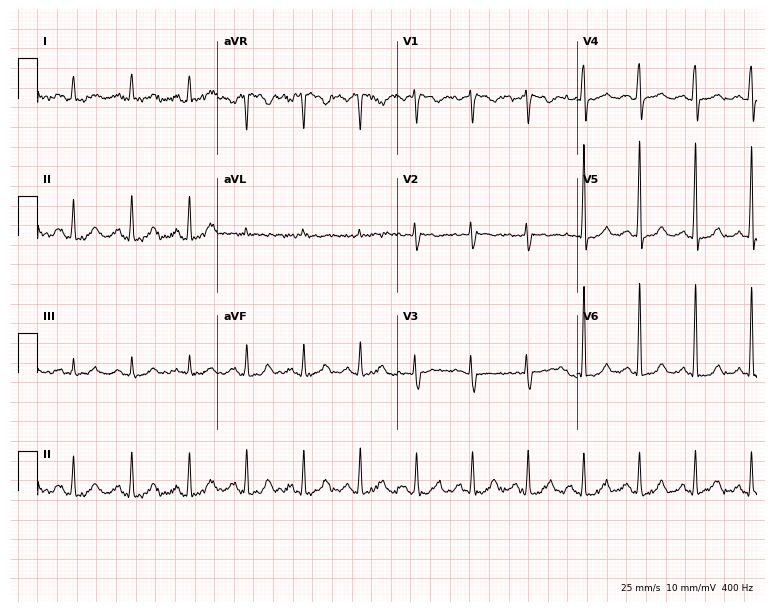
12-lead ECG from a female, 57 years old. Screened for six findings — first-degree AV block, right bundle branch block, left bundle branch block, sinus bradycardia, atrial fibrillation, sinus tachycardia — none is recorded. Findings outside these six are not listed.